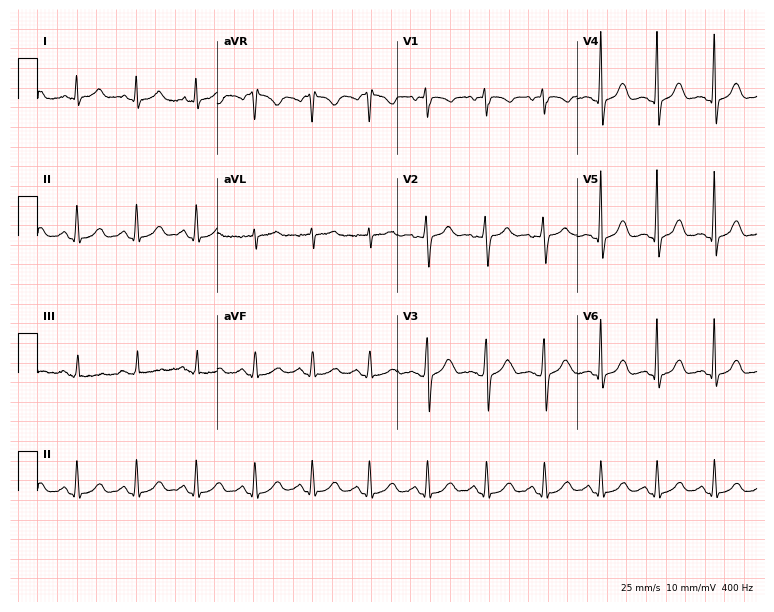
Resting 12-lead electrocardiogram. Patient: a female, 33 years old. Read as a normal ECG.